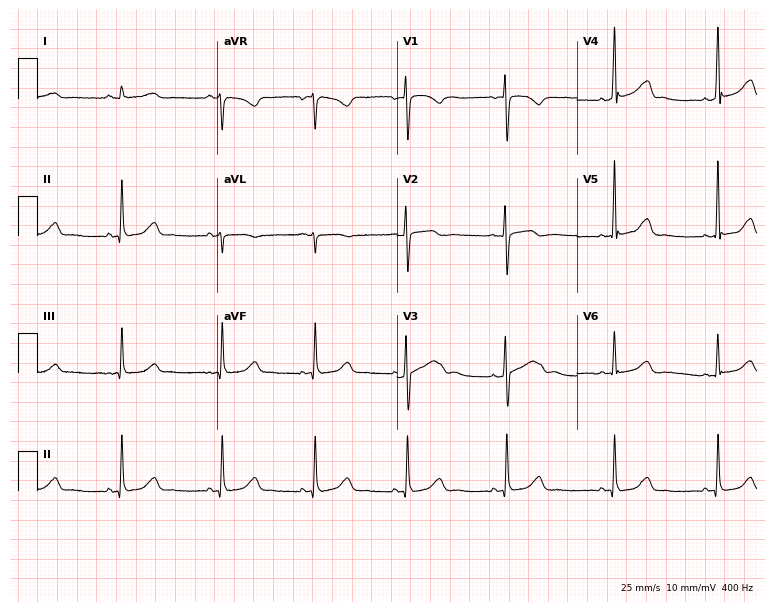
Electrocardiogram (7.3-second recording at 400 Hz), a female patient, 37 years old. Overall reading on record: normal ECG.